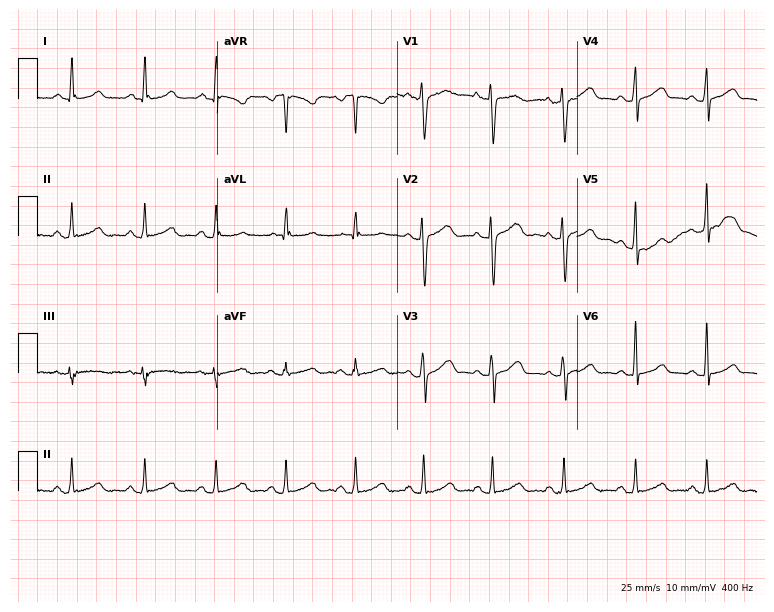
12-lead ECG from a 28-year-old female patient. Labelled as a normal ECG.